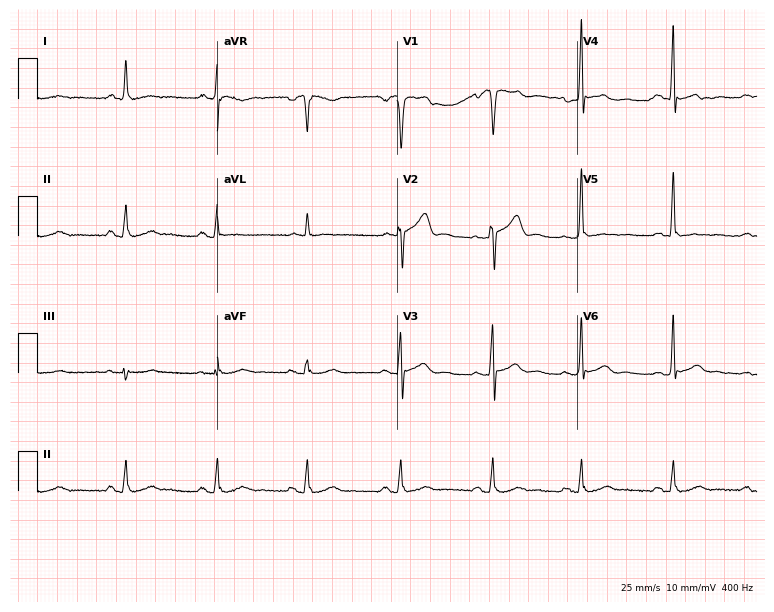
ECG (7.3-second recording at 400 Hz) — a male, 72 years old. Screened for six findings — first-degree AV block, right bundle branch block, left bundle branch block, sinus bradycardia, atrial fibrillation, sinus tachycardia — none is recorded. Only these six findings were labelled.